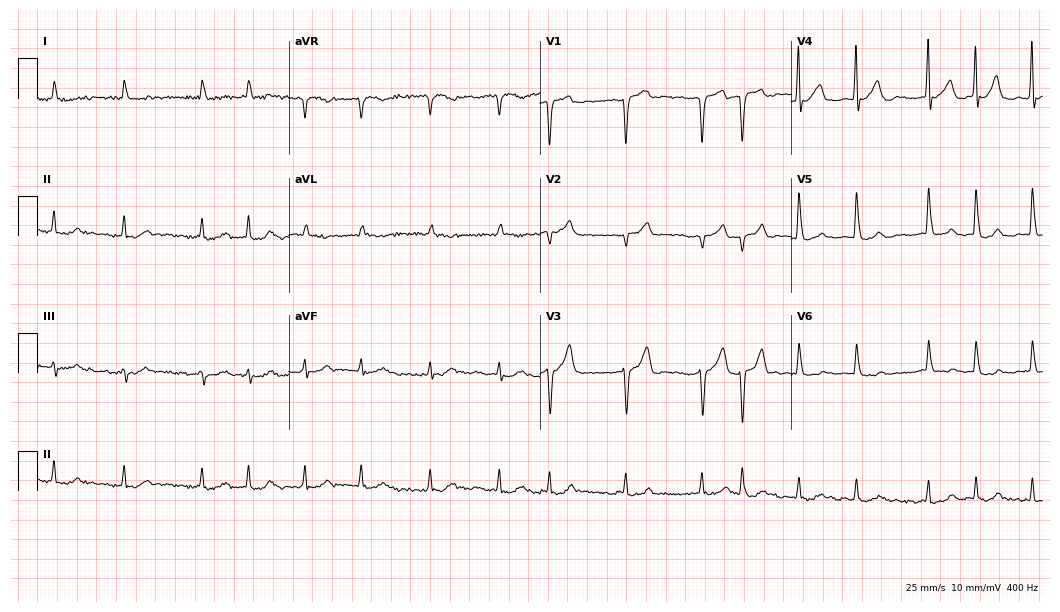
12-lead ECG from a male patient, 82 years old. Findings include atrial fibrillation.